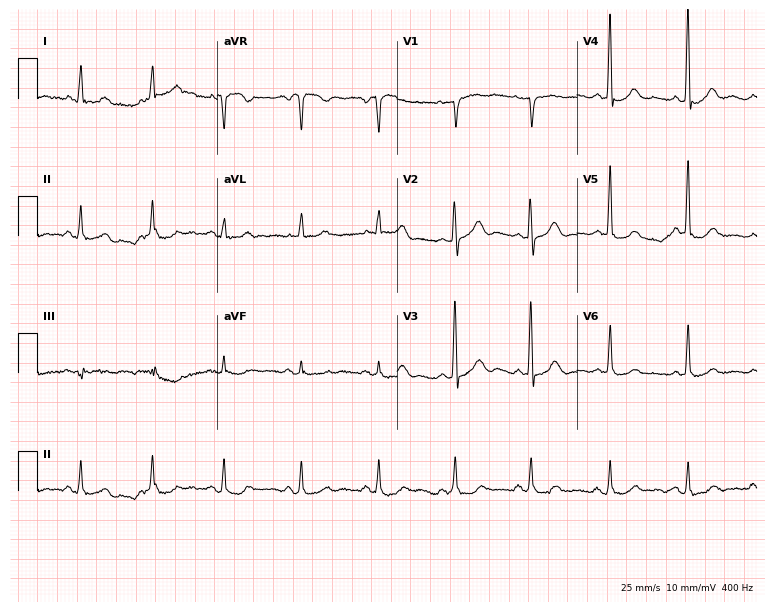
Electrocardiogram (7.3-second recording at 400 Hz), a 60-year-old female. Of the six screened findings (first-degree AV block, right bundle branch block (RBBB), left bundle branch block (LBBB), sinus bradycardia, atrial fibrillation (AF), sinus tachycardia), none is recorded. Findings outside these six are not listed.